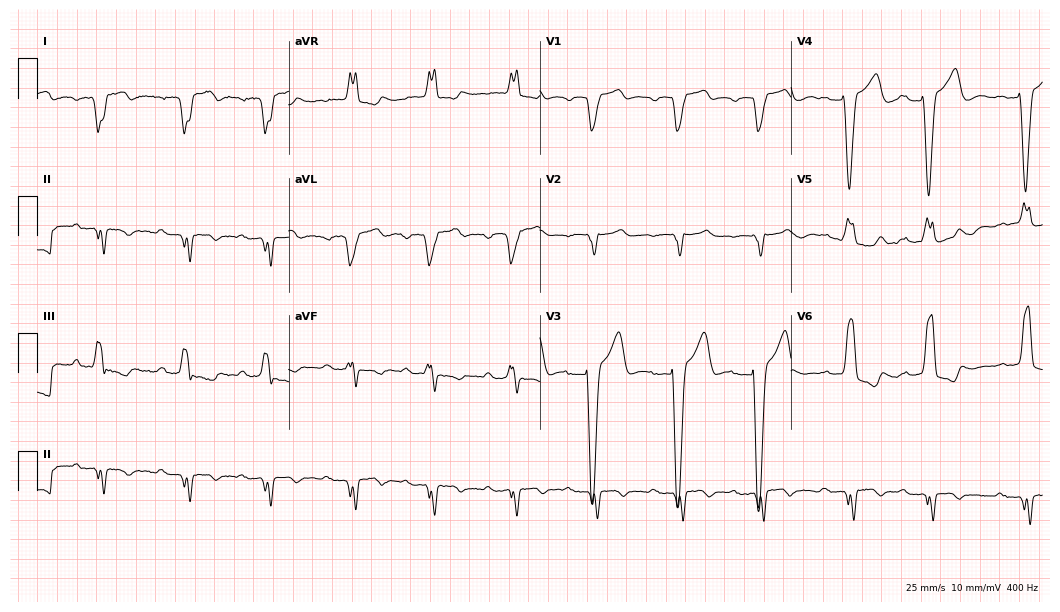
ECG — an 81-year-old male patient. Screened for six findings — first-degree AV block, right bundle branch block (RBBB), left bundle branch block (LBBB), sinus bradycardia, atrial fibrillation (AF), sinus tachycardia — none is recorded.